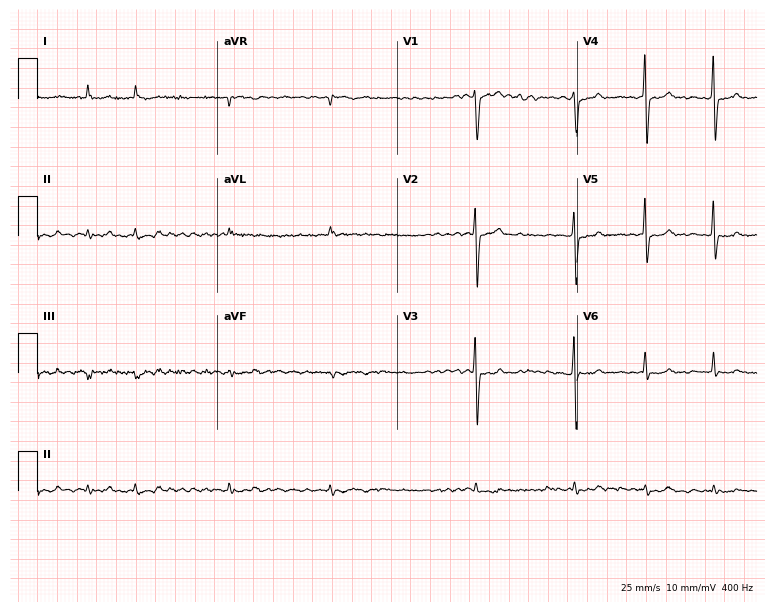
12-lead ECG from a male, 64 years old (7.3-second recording at 400 Hz). Shows atrial fibrillation.